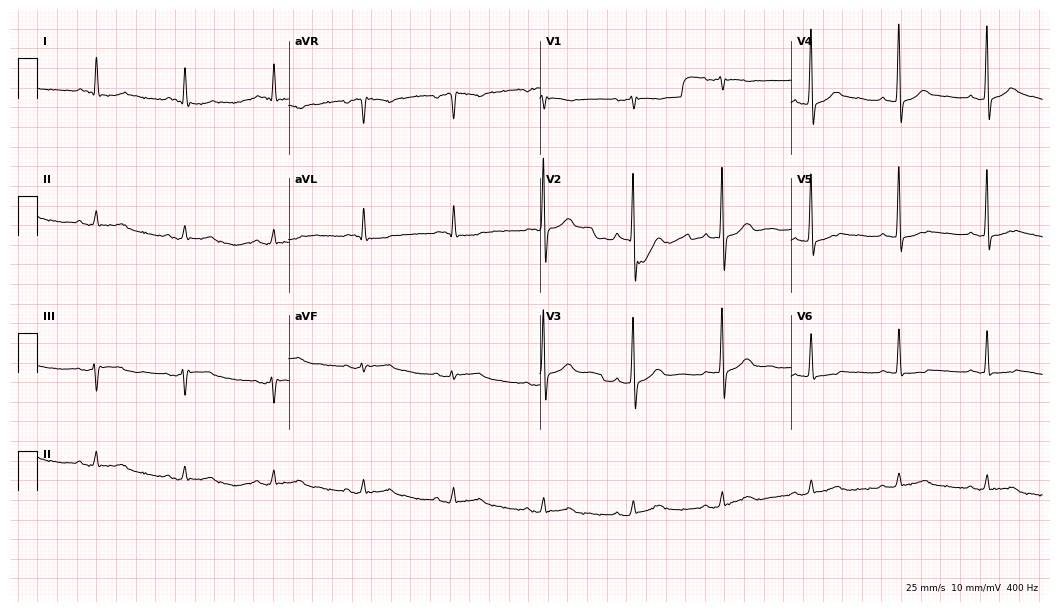
ECG — an 83-year-old male patient. Labelled as a normal ECG.